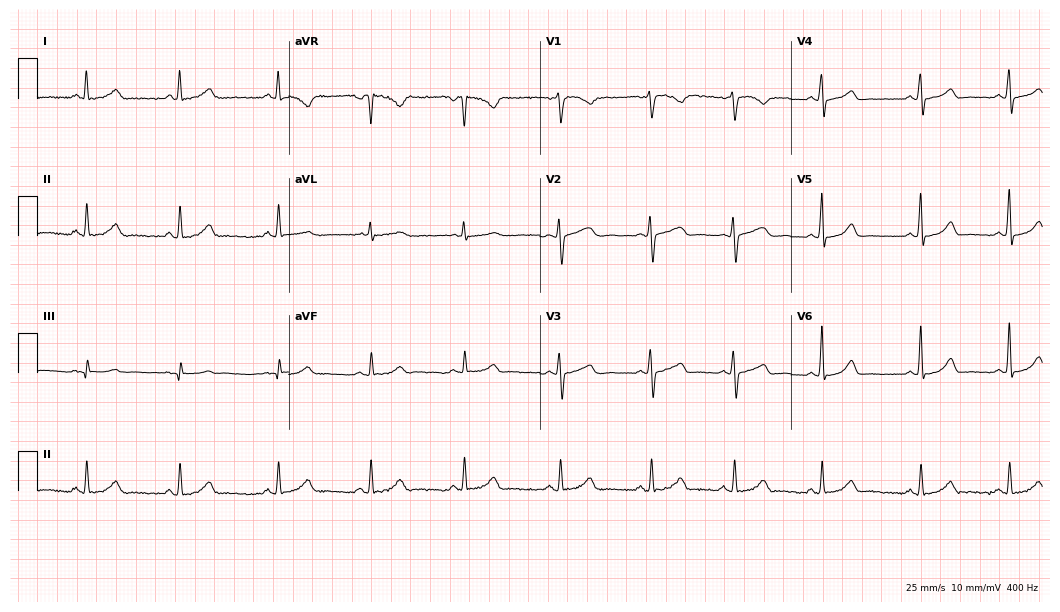
ECG — a 35-year-old woman. Labelled as a normal ECG.